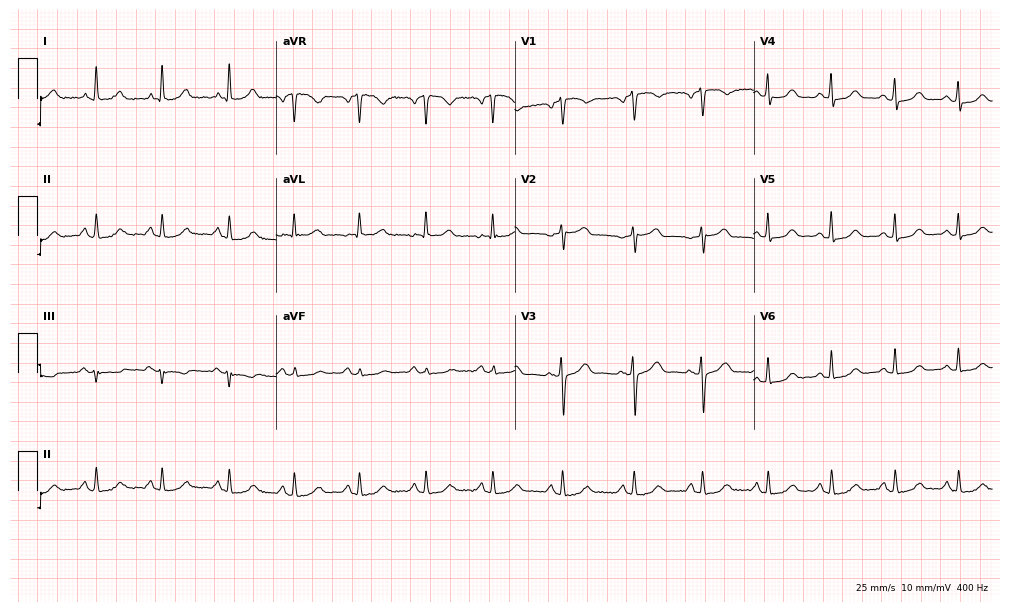
ECG — a 51-year-old woman. Labelled as a normal ECG.